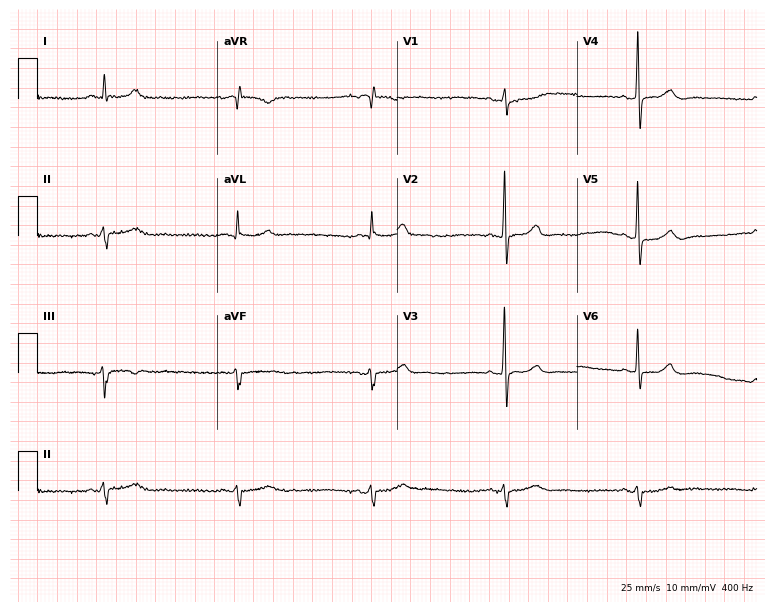
Standard 12-lead ECG recorded from a male, 75 years old (7.3-second recording at 400 Hz). The tracing shows sinus bradycardia (a sinus rate of 50 beats per minute or less).